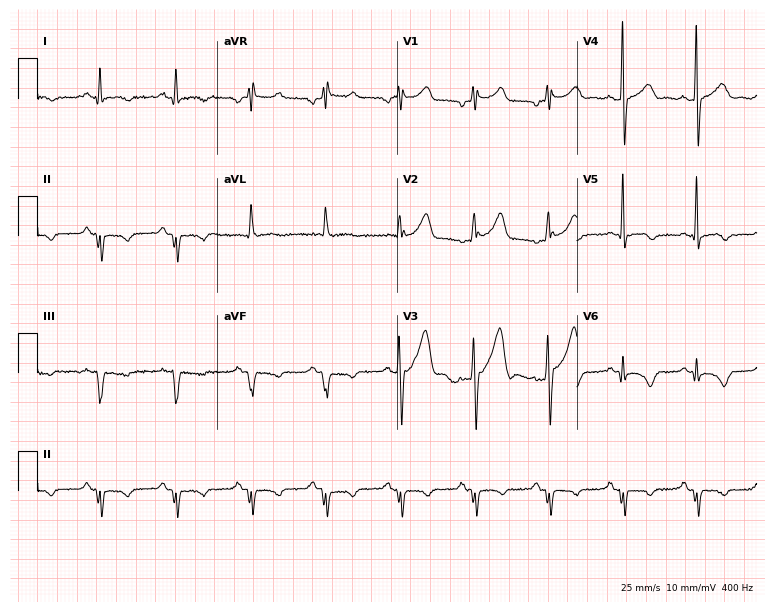
Electrocardiogram (7.3-second recording at 400 Hz), a 55-year-old male patient. Of the six screened findings (first-degree AV block, right bundle branch block, left bundle branch block, sinus bradycardia, atrial fibrillation, sinus tachycardia), none is recorded. Other findings, if any, are not listed.